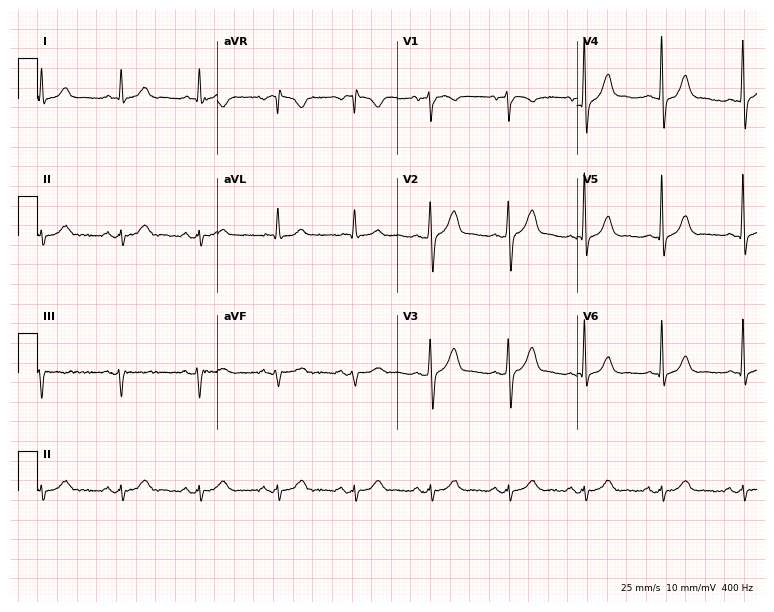
Electrocardiogram (7.3-second recording at 400 Hz), a 67-year-old man. Of the six screened findings (first-degree AV block, right bundle branch block, left bundle branch block, sinus bradycardia, atrial fibrillation, sinus tachycardia), none is recorded. Findings outside these six are not listed.